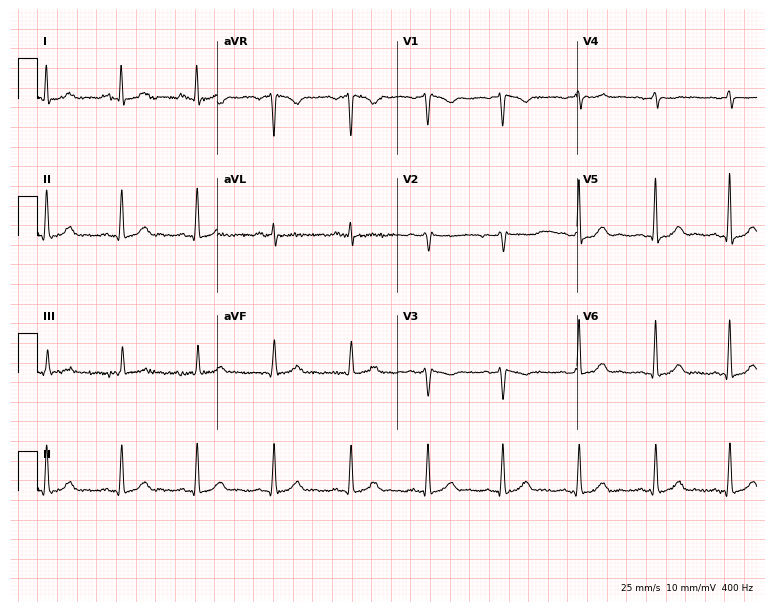
Electrocardiogram (7.3-second recording at 400 Hz), a female, 65 years old. Overall reading on record: normal ECG.